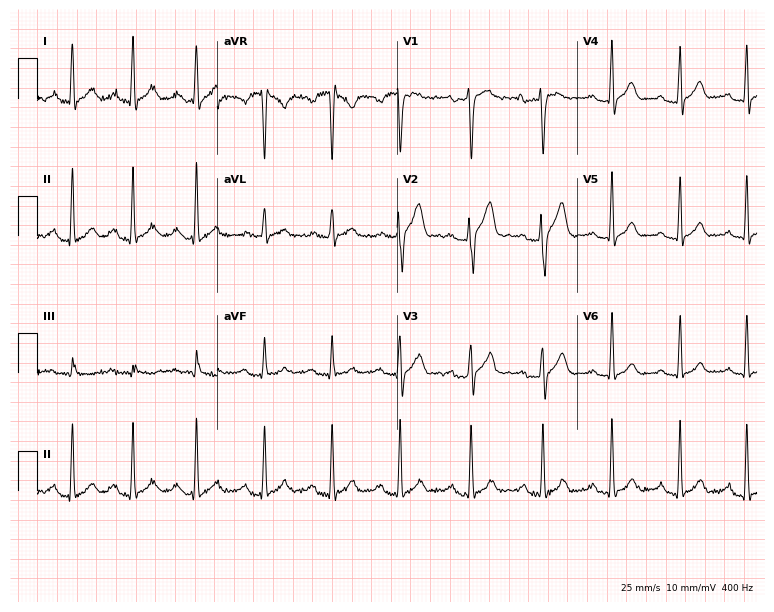
Standard 12-lead ECG recorded from a 20-year-old male (7.3-second recording at 400 Hz). Read as a normal ECG.